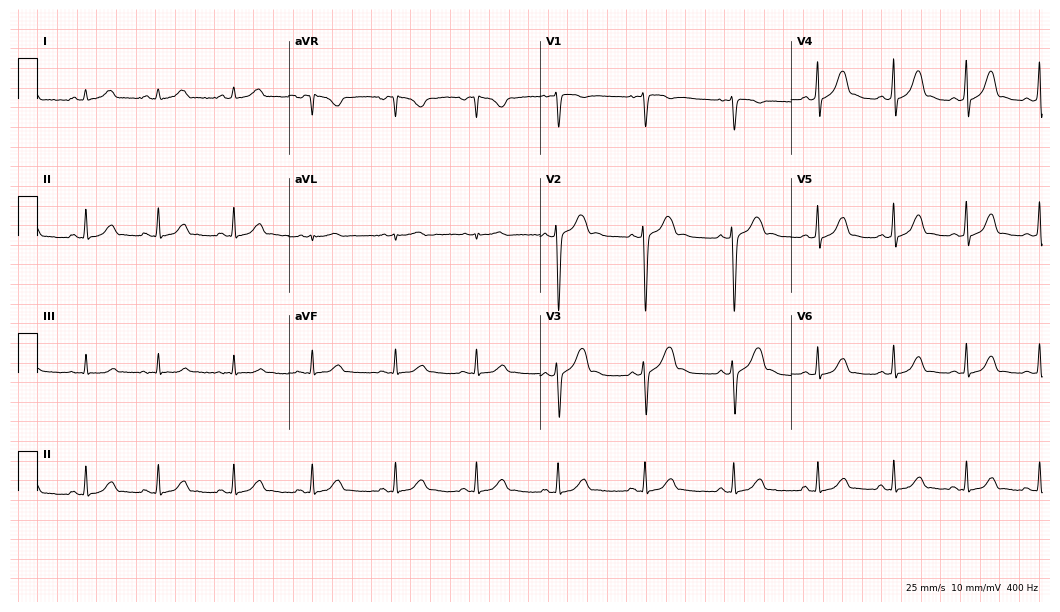
Electrocardiogram (10.2-second recording at 400 Hz), a female patient, 25 years old. Overall reading on record: normal ECG.